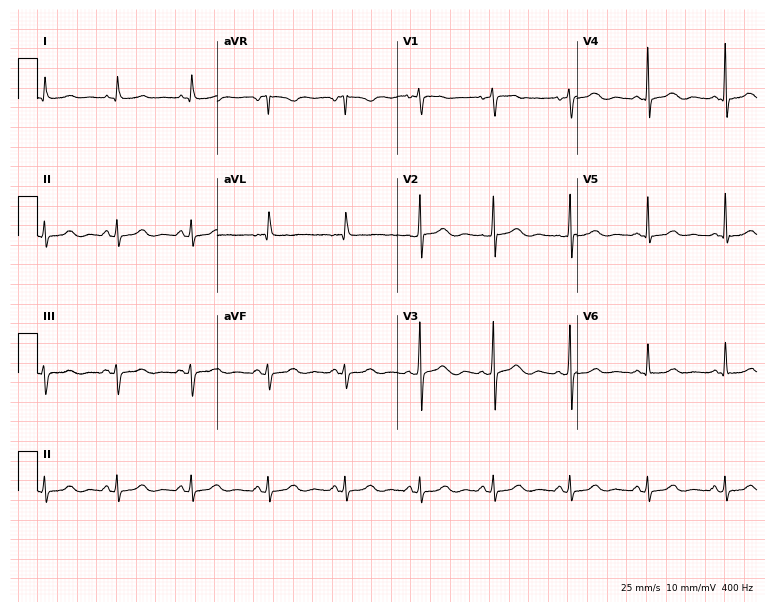
12-lead ECG from a woman, 77 years old. Recorded interpretation: within normal limits.